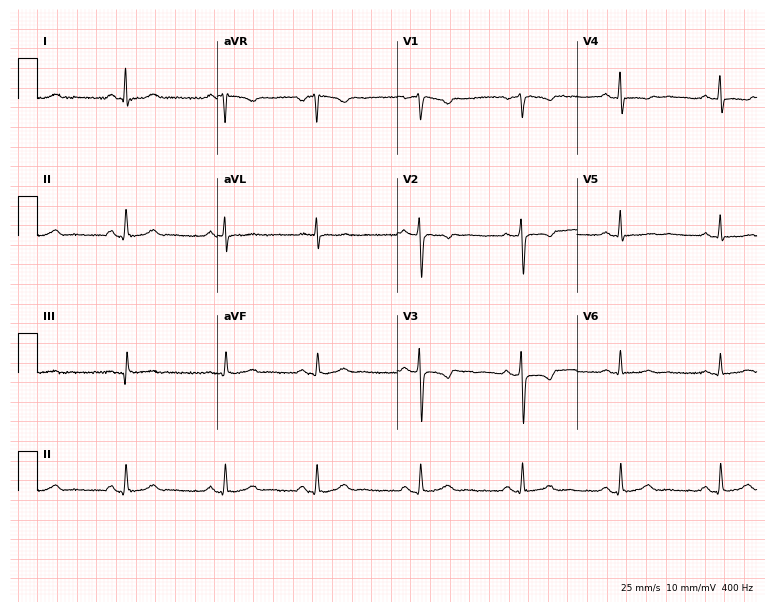
Electrocardiogram (7.3-second recording at 400 Hz), a 37-year-old female patient. Of the six screened findings (first-degree AV block, right bundle branch block, left bundle branch block, sinus bradycardia, atrial fibrillation, sinus tachycardia), none is recorded. Findings outside these six are not listed.